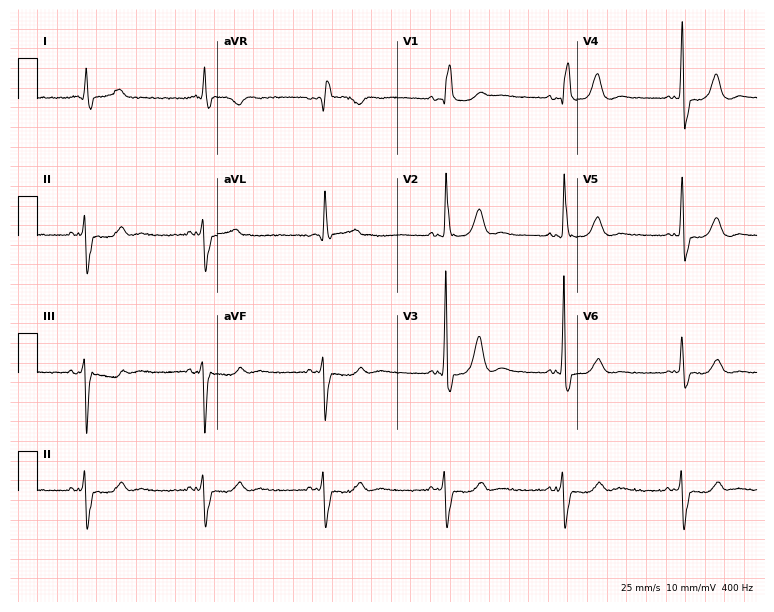
ECG — a man, 74 years old. Findings include right bundle branch block (RBBB).